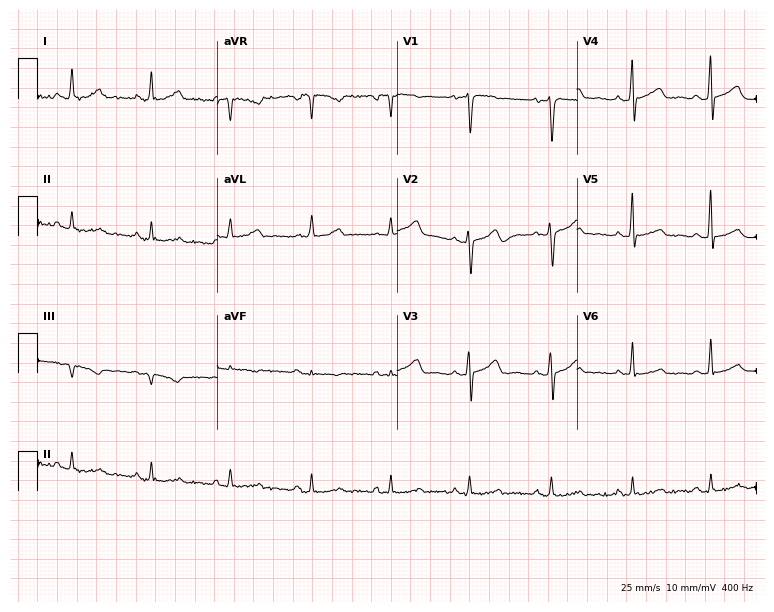
ECG (7.3-second recording at 400 Hz) — a female patient, 43 years old. Screened for six findings — first-degree AV block, right bundle branch block, left bundle branch block, sinus bradycardia, atrial fibrillation, sinus tachycardia — none is recorded.